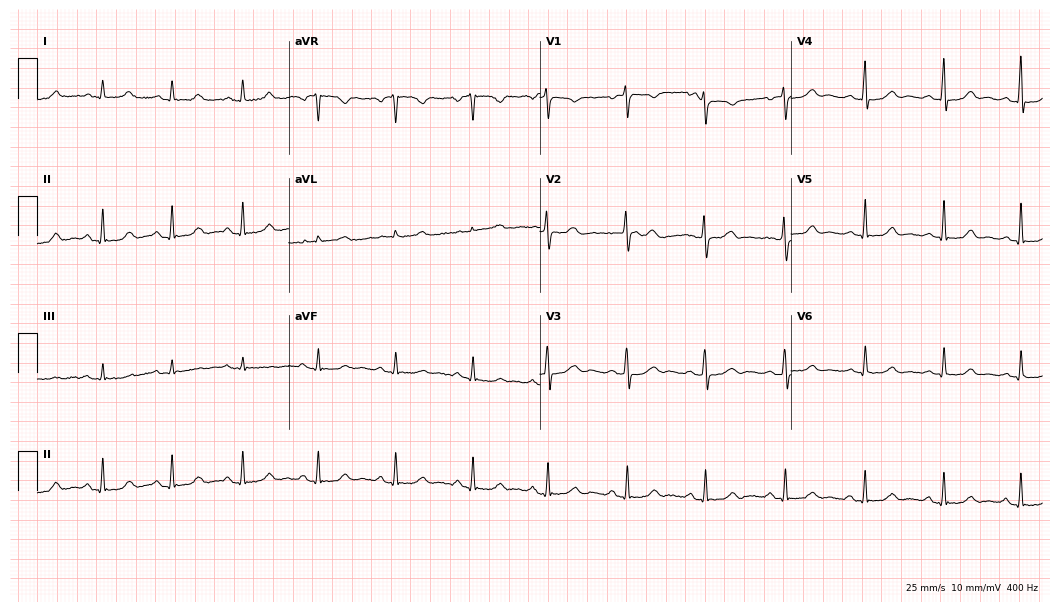
Resting 12-lead electrocardiogram (10.2-second recording at 400 Hz). Patient: a 45-year-old female. Read as a normal ECG.